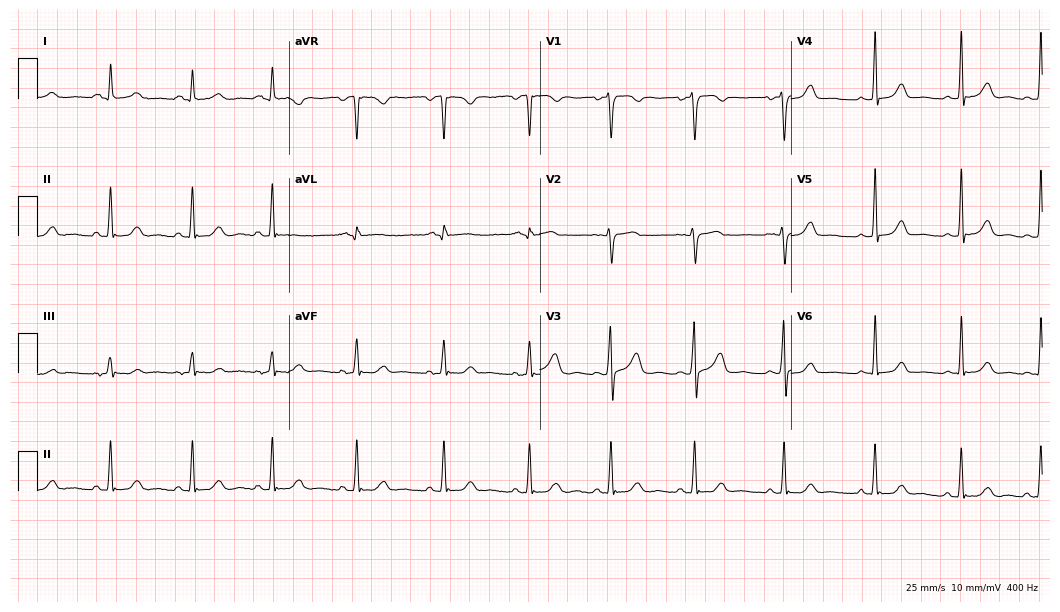
Standard 12-lead ECG recorded from a 27-year-old woman. Read as a normal ECG.